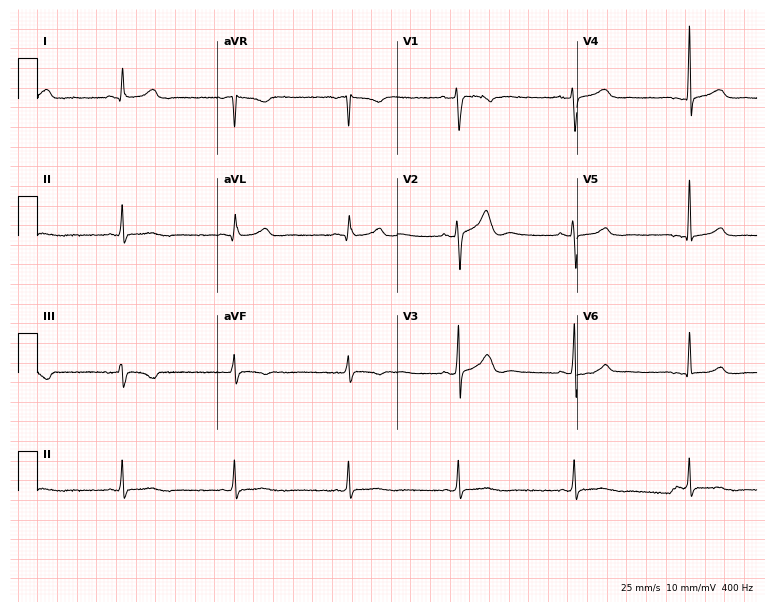
12-lead ECG from a woman, 34 years old. Screened for six findings — first-degree AV block, right bundle branch block, left bundle branch block, sinus bradycardia, atrial fibrillation, sinus tachycardia — none is recorded.